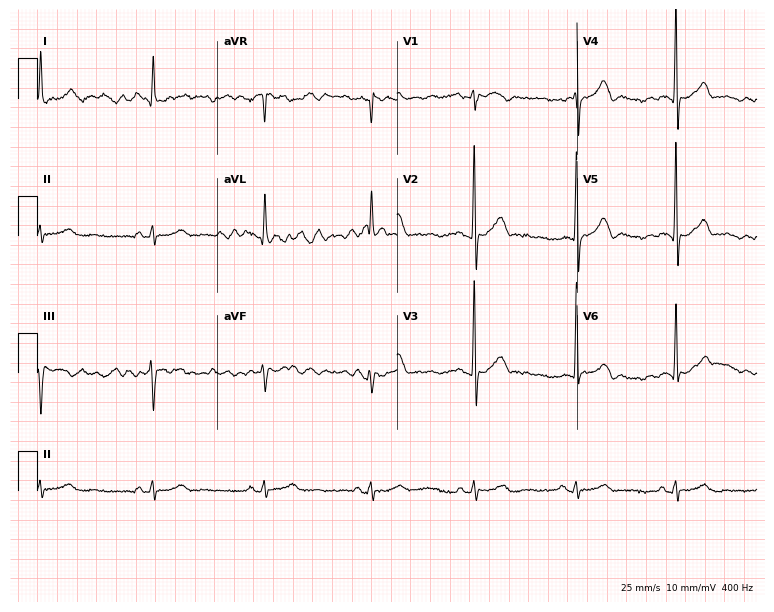
Electrocardiogram, a male, 79 years old. Of the six screened findings (first-degree AV block, right bundle branch block (RBBB), left bundle branch block (LBBB), sinus bradycardia, atrial fibrillation (AF), sinus tachycardia), none is recorded.